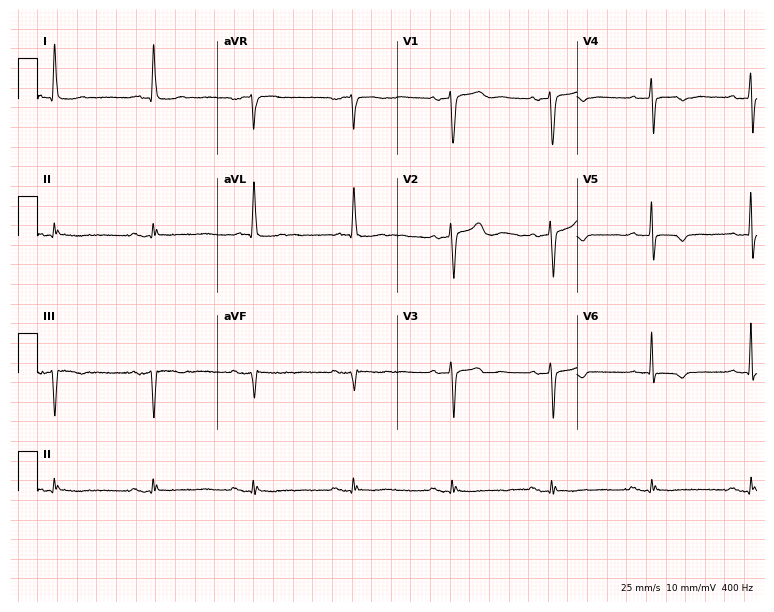
Electrocardiogram, a woman, 79 years old. Of the six screened findings (first-degree AV block, right bundle branch block (RBBB), left bundle branch block (LBBB), sinus bradycardia, atrial fibrillation (AF), sinus tachycardia), none is recorded. Findings outside these six are not listed.